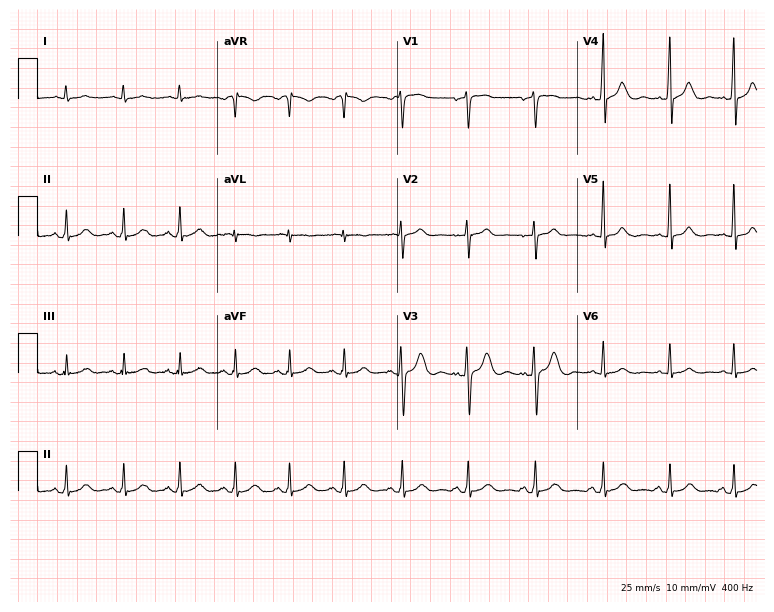
12-lead ECG from a 36-year-old female. No first-degree AV block, right bundle branch block, left bundle branch block, sinus bradycardia, atrial fibrillation or sinus tachycardia recorded for this tracing.